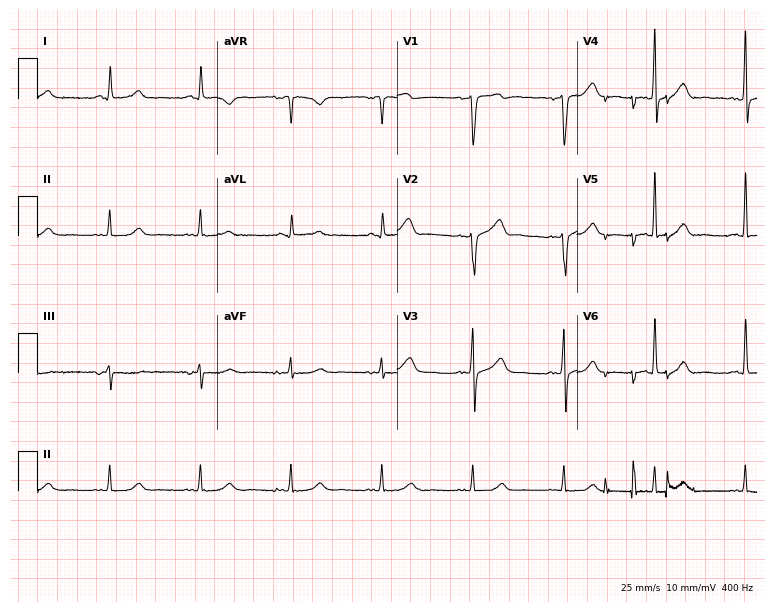
12-lead ECG from a 55-year-old male patient. Labelled as a normal ECG.